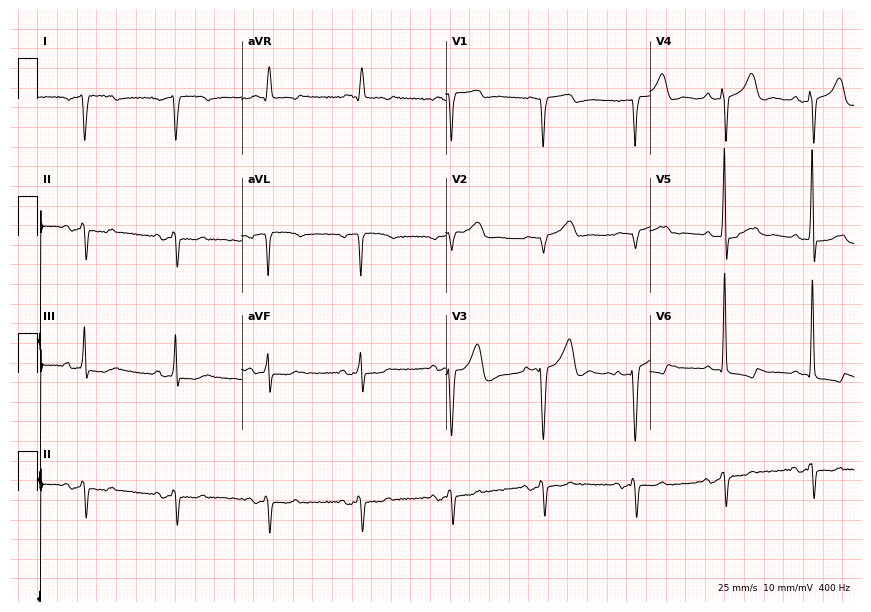
Standard 12-lead ECG recorded from a 66-year-old female patient. None of these six findings is recorded: first-degree AV block, right bundle branch block, left bundle branch block, sinus bradycardia, atrial fibrillation, sinus tachycardia.